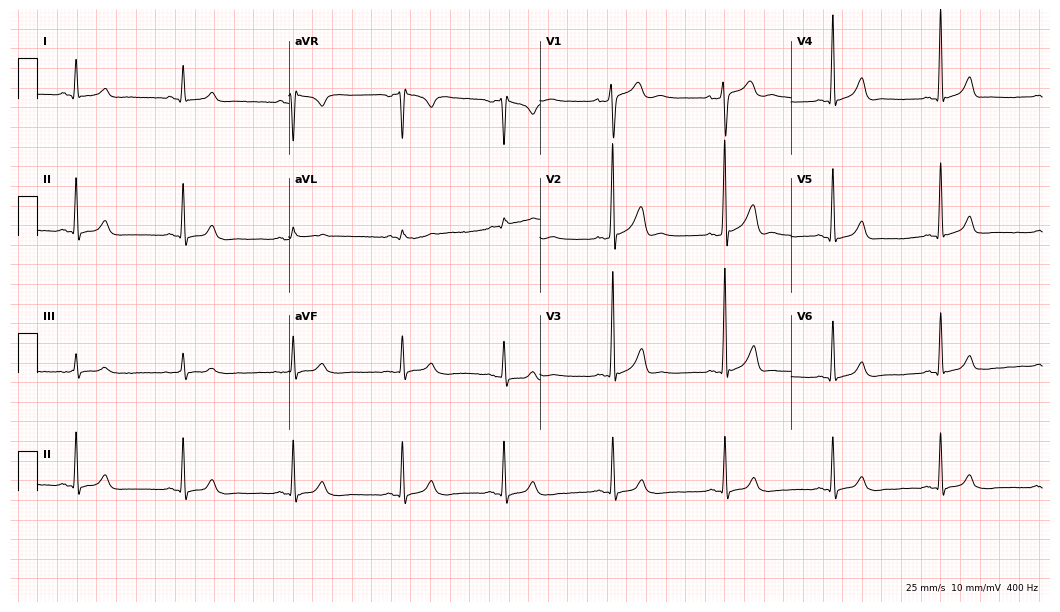
Electrocardiogram (10.2-second recording at 400 Hz), a male patient, 33 years old. Overall reading on record: normal ECG.